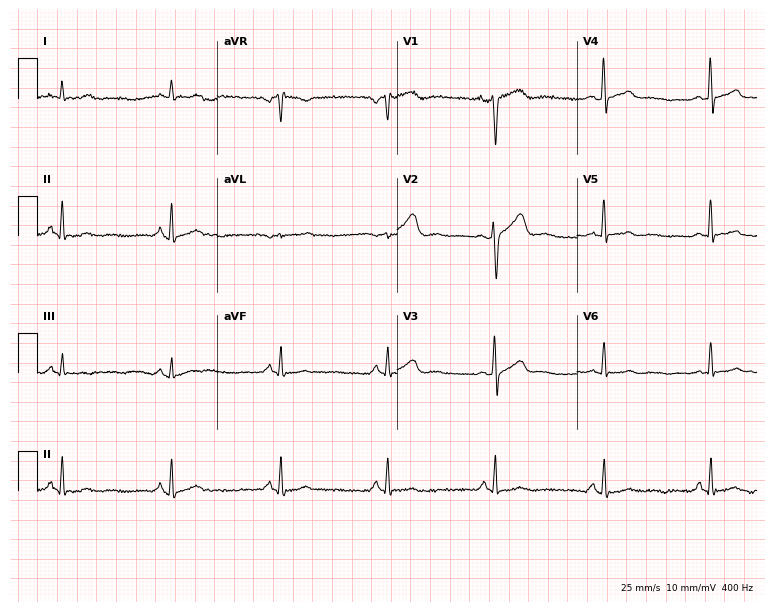
12-lead ECG from a male, 45 years old (7.3-second recording at 400 Hz). No first-degree AV block, right bundle branch block, left bundle branch block, sinus bradycardia, atrial fibrillation or sinus tachycardia recorded for this tracing.